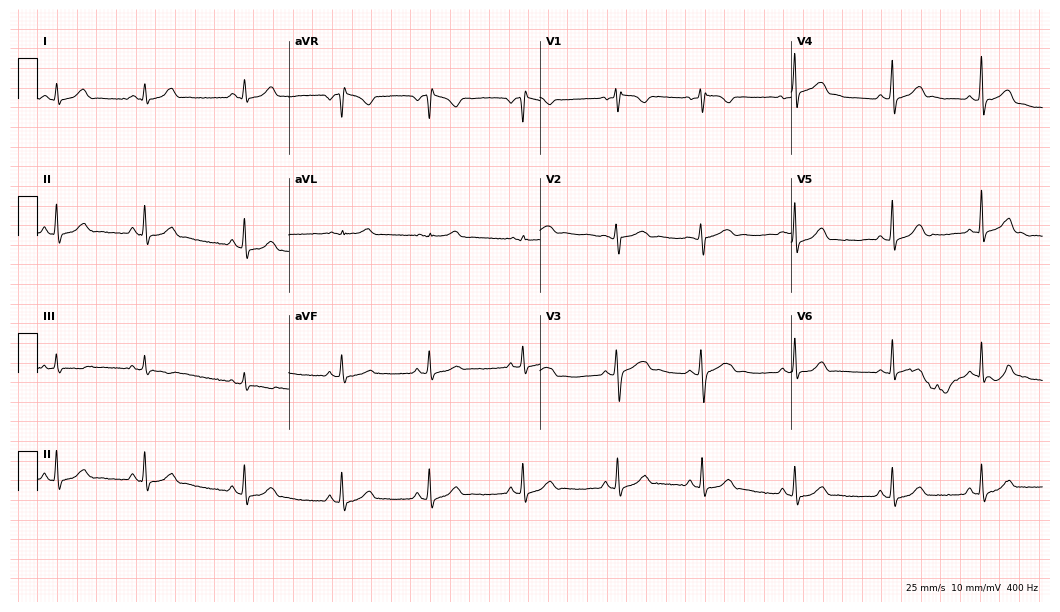
12-lead ECG from a female, 29 years old. Recorded interpretation: within normal limits.